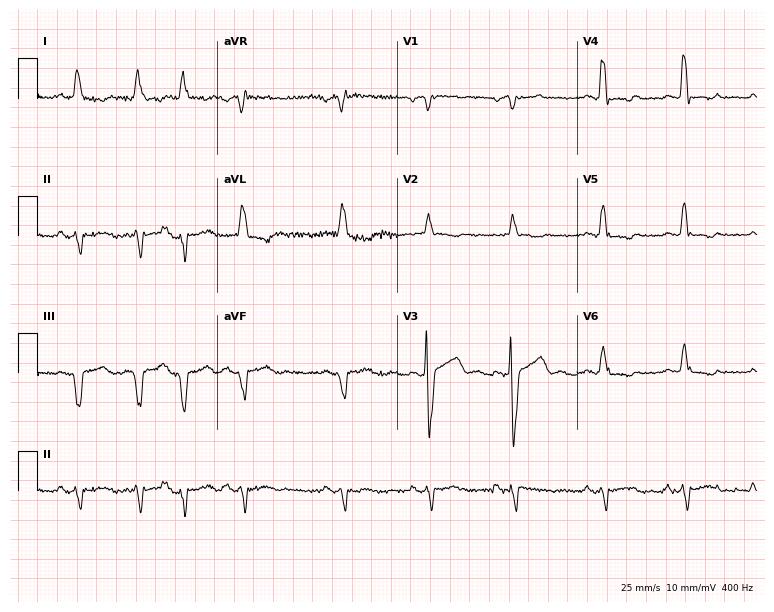
12-lead ECG from an 82-year-old male. Screened for six findings — first-degree AV block, right bundle branch block, left bundle branch block, sinus bradycardia, atrial fibrillation, sinus tachycardia — none is recorded. Other findings, if any, are not listed.